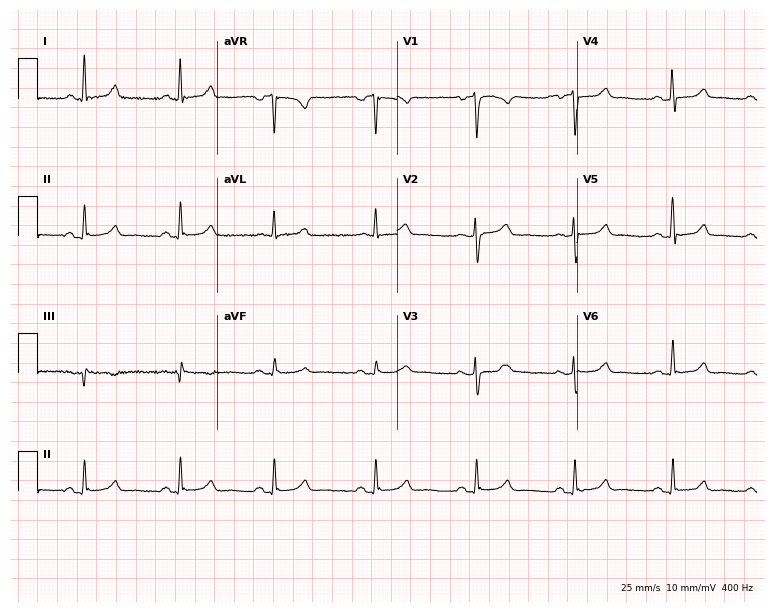
Electrocardiogram (7.3-second recording at 400 Hz), a 45-year-old female. Overall reading on record: normal ECG.